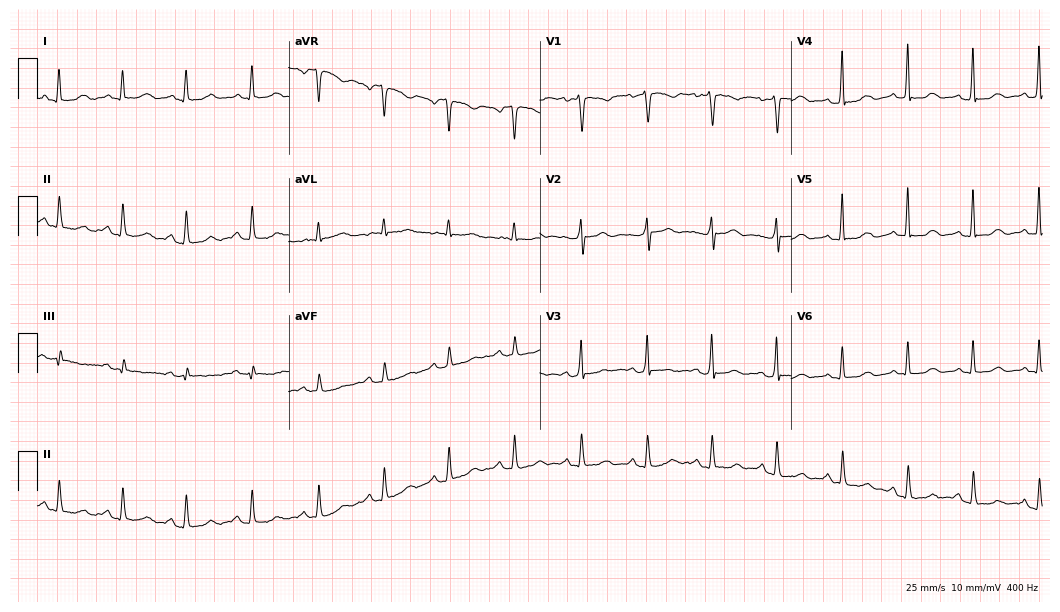
Resting 12-lead electrocardiogram. Patient: a 45-year-old female. Read as a normal ECG.